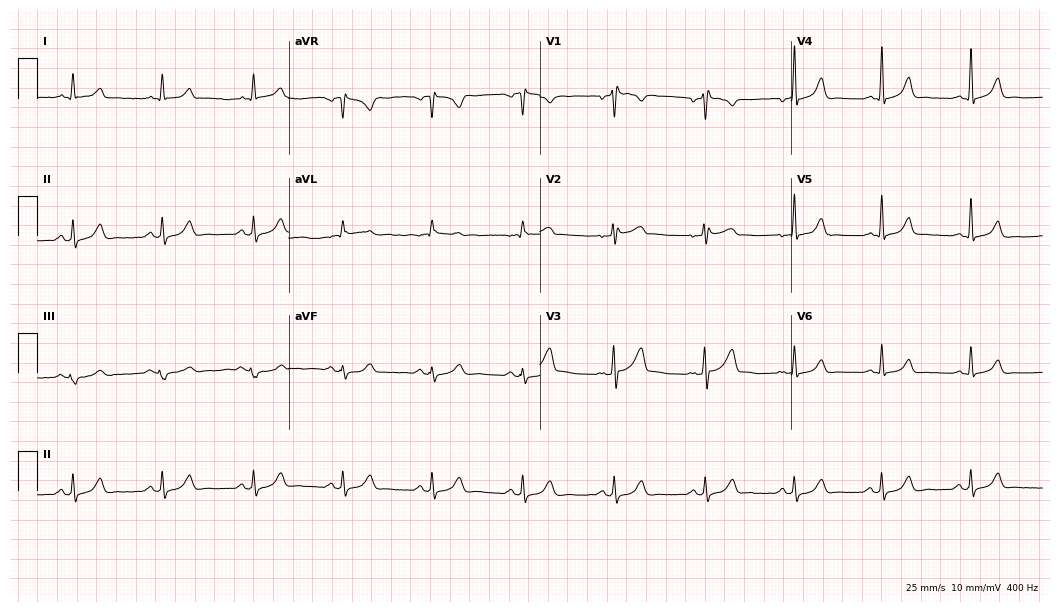
12-lead ECG (10.2-second recording at 400 Hz) from a 39-year-old man. Screened for six findings — first-degree AV block, right bundle branch block (RBBB), left bundle branch block (LBBB), sinus bradycardia, atrial fibrillation (AF), sinus tachycardia — none is recorded.